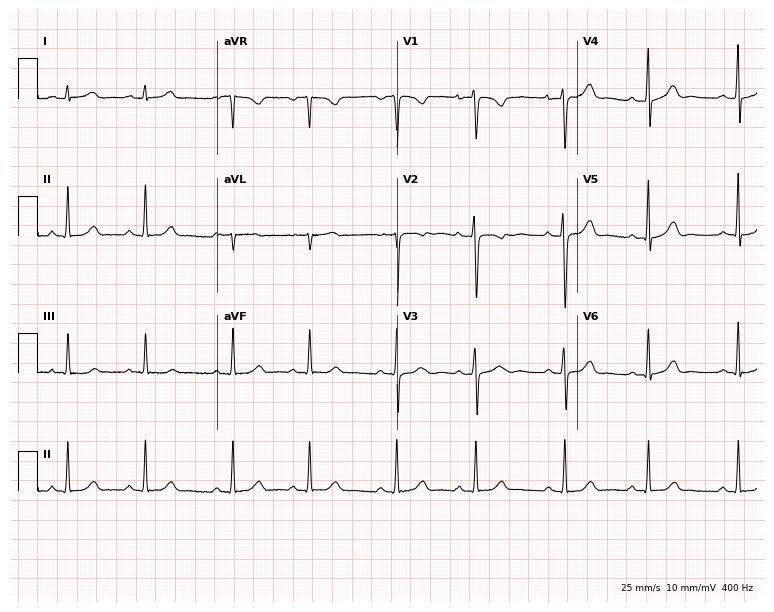
ECG — a female patient, 17 years old. Screened for six findings — first-degree AV block, right bundle branch block, left bundle branch block, sinus bradycardia, atrial fibrillation, sinus tachycardia — none is recorded.